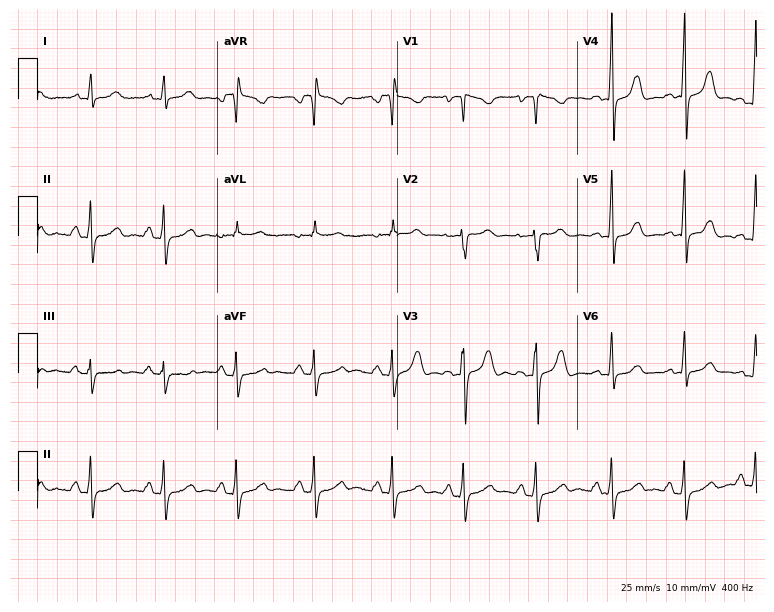
Resting 12-lead electrocardiogram (7.3-second recording at 400 Hz). Patient: a female, 31 years old. None of these six findings is recorded: first-degree AV block, right bundle branch block, left bundle branch block, sinus bradycardia, atrial fibrillation, sinus tachycardia.